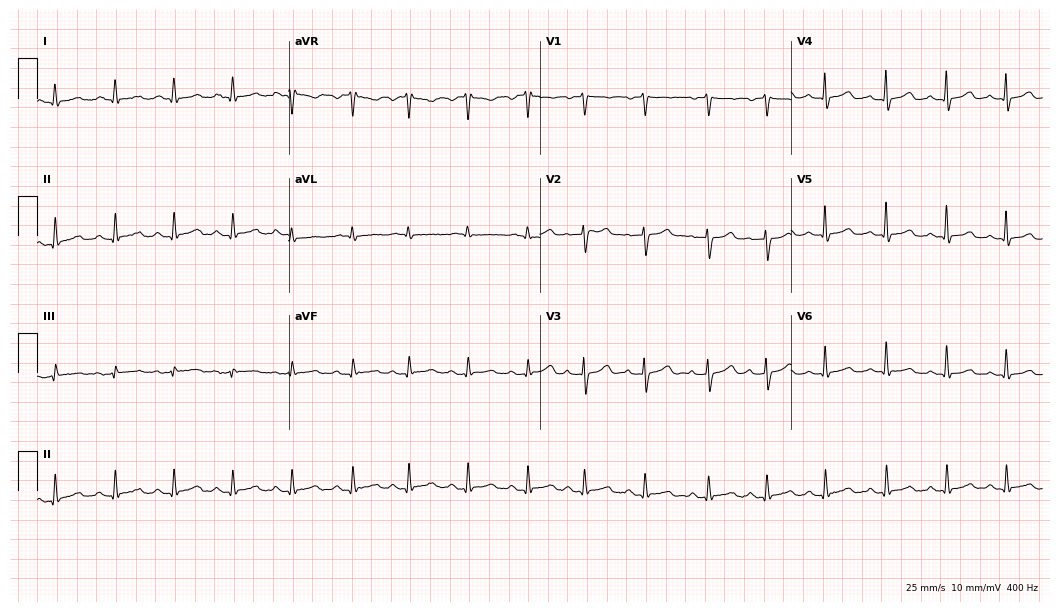
Resting 12-lead electrocardiogram (10.2-second recording at 400 Hz). Patient: a 69-year-old woman. Read as a normal ECG.